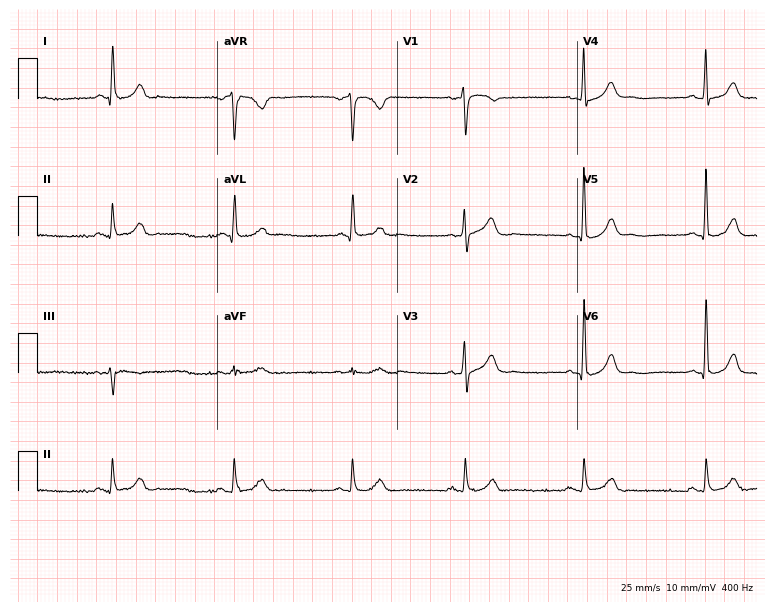
ECG — a male patient, 59 years old. Findings include sinus bradycardia (a sinus rate of 50 beats per minute or less).